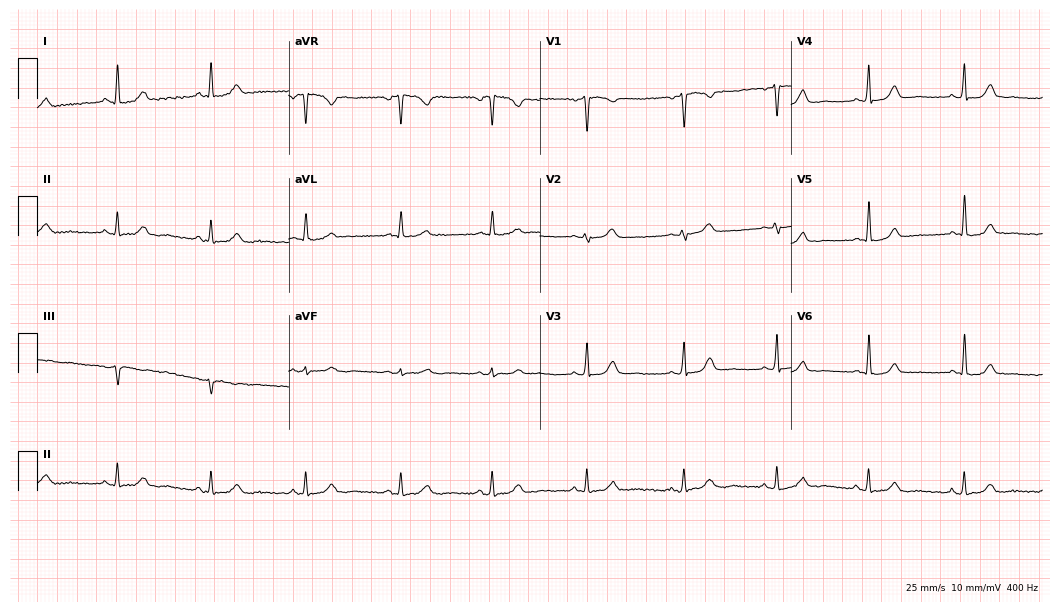
12-lead ECG from a 39-year-old female patient (10.2-second recording at 400 Hz). No first-degree AV block, right bundle branch block (RBBB), left bundle branch block (LBBB), sinus bradycardia, atrial fibrillation (AF) or sinus tachycardia recorded for this tracing. Other findings, if any, are not listed.